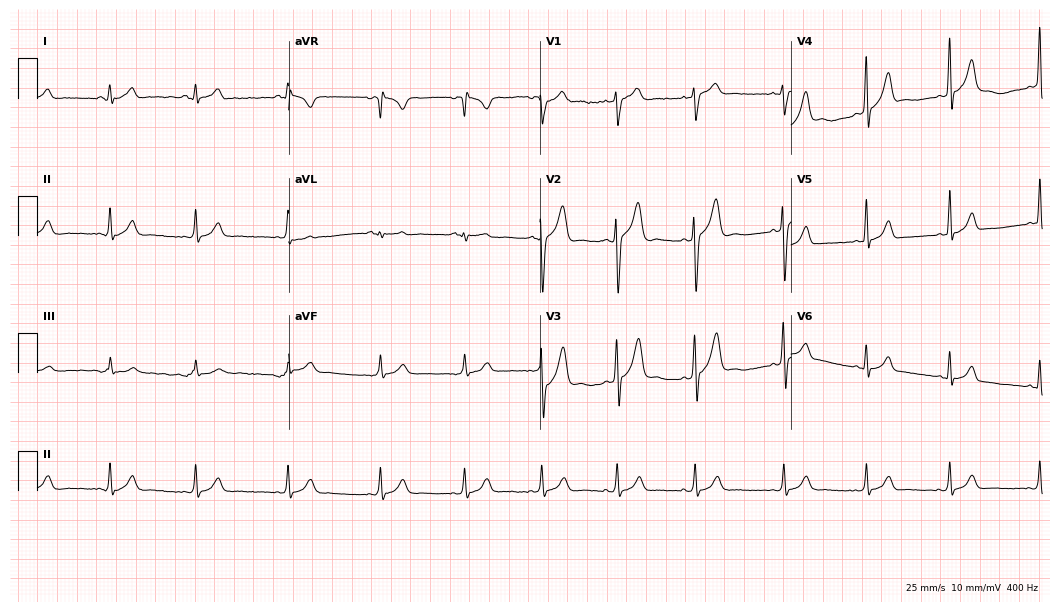
12-lead ECG from a male patient, 21 years old. Screened for six findings — first-degree AV block, right bundle branch block, left bundle branch block, sinus bradycardia, atrial fibrillation, sinus tachycardia — none is recorded.